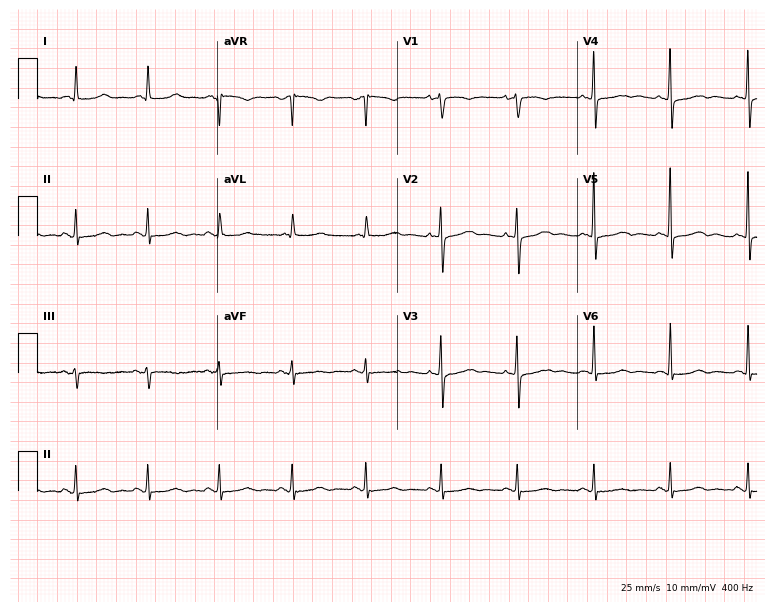
ECG — a female patient, 73 years old. Screened for six findings — first-degree AV block, right bundle branch block, left bundle branch block, sinus bradycardia, atrial fibrillation, sinus tachycardia — none is recorded.